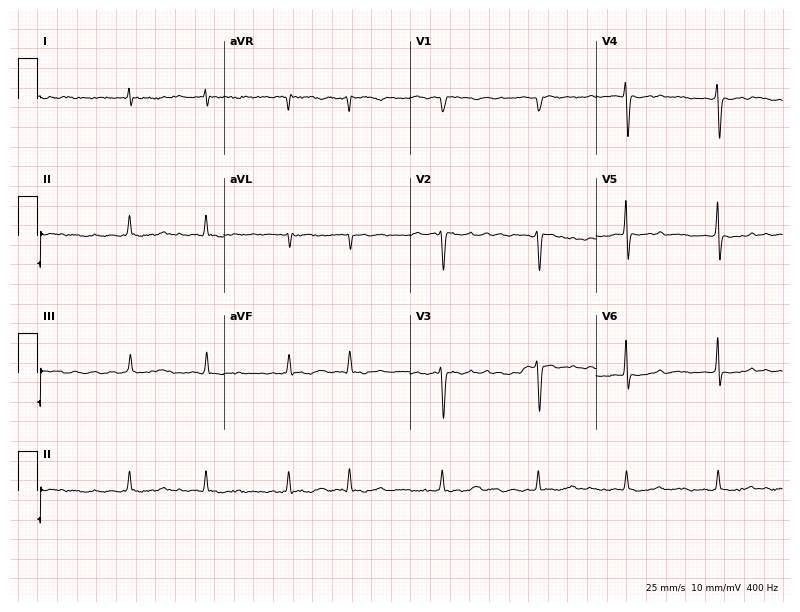
12-lead ECG from an 81-year-old female (7.6-second recording at 400 Hz). Shows atrial fibrillation.